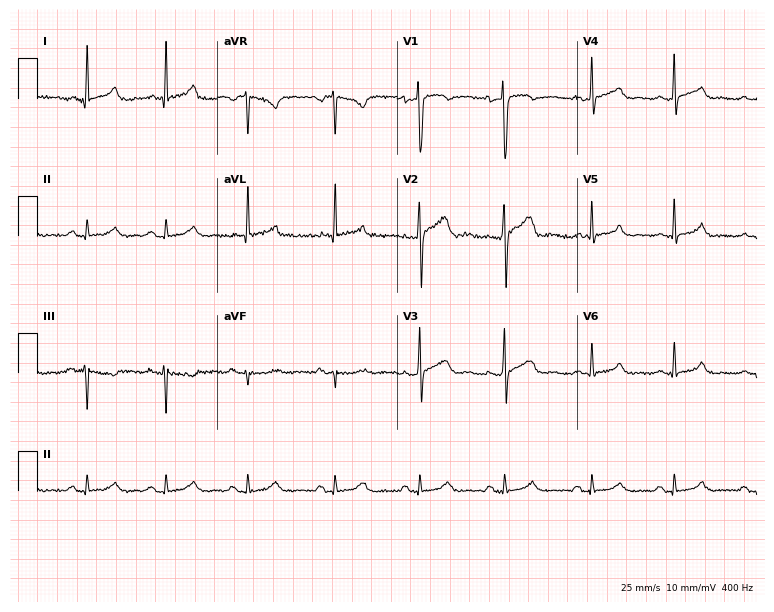
Resting 12-lead electrocardiogram. Patient: a male, 30 years old. Read as a normal ECG.